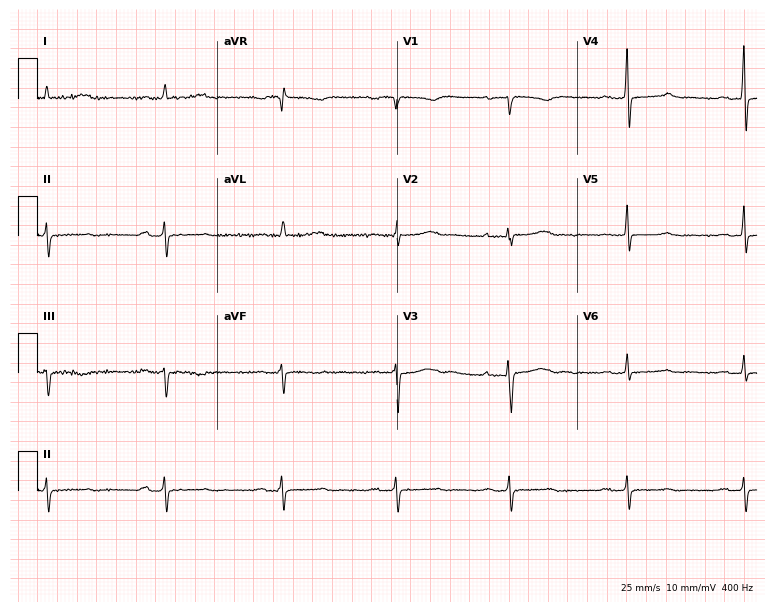
Standard 12-lead ECG recorded from a female patient, 32 years old (7.3-second recording at 400 Hz). The tracing shows first-degree AV block, atrial fibrillation (AF).